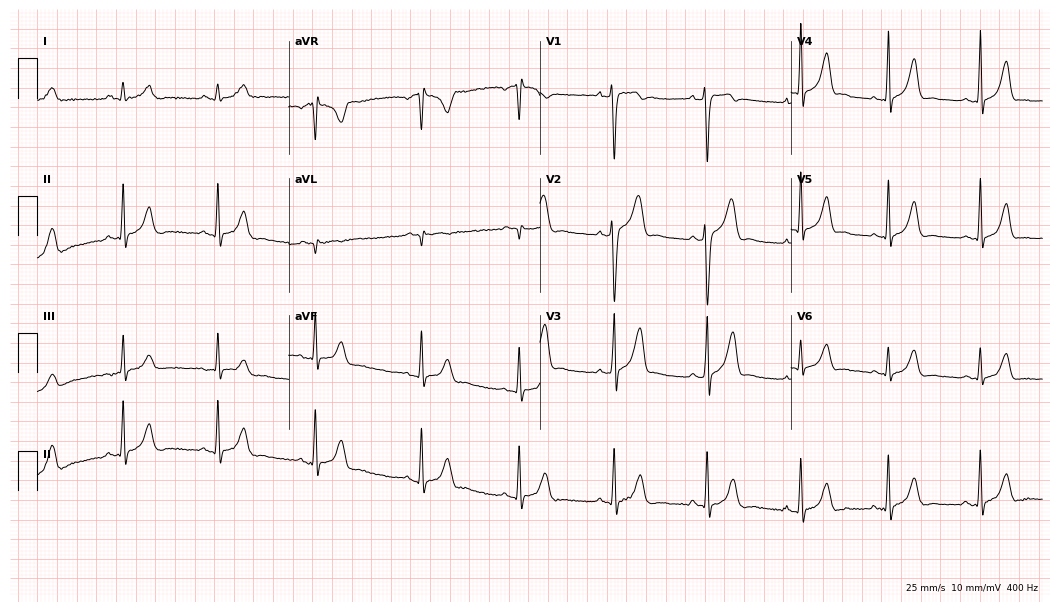
ECG — a 29-year-old male patient. Screened for six findings — first-degree AV block, right bundle branch block, left bundle branch block, sinus bradycardia, atrial fibrillation, sinus tachycardia — none is recorded. Findings outside these six are not listed.